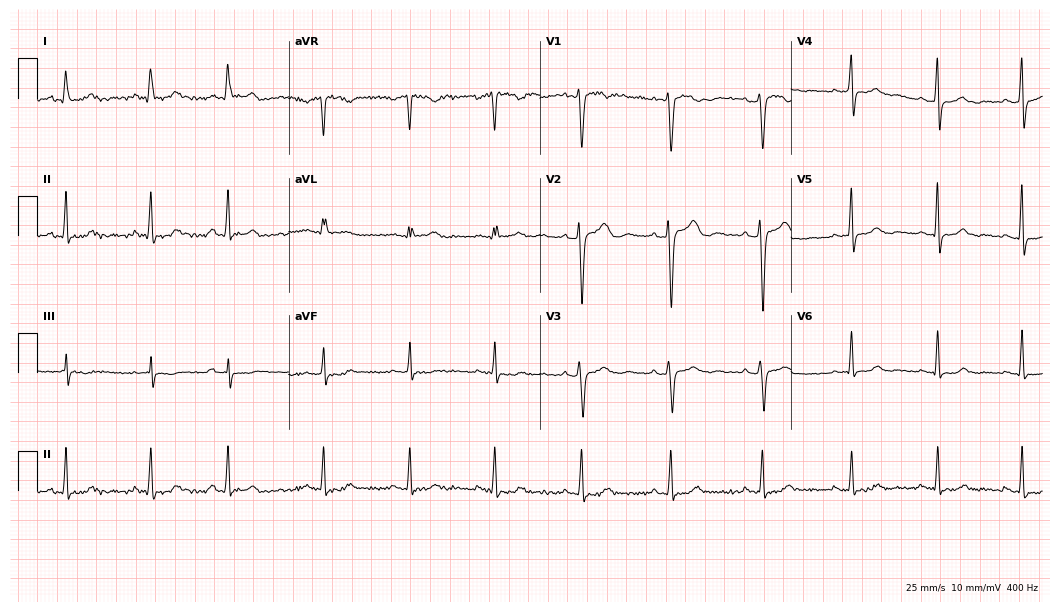
12-lead ECG from a female patient, 34 years old (10.2-second recording at 400 Hz). No first-degree AV block, right bundle branch block (RBBB), left bundle branch block (LBBB), sinus bradycardia, atrial fibrillation (AF) or sinus tachycardia recorded for this tracing.